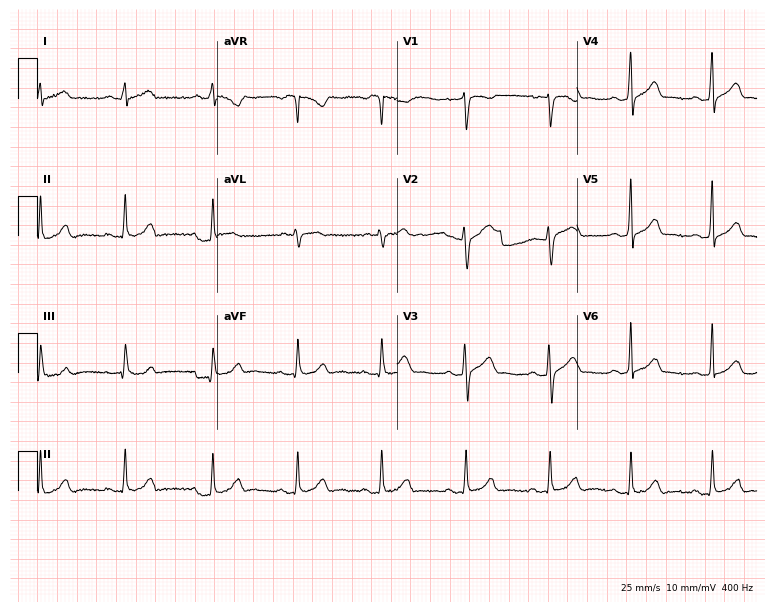
Electrocardiogram, a male patient, 35 years old. Overall reading on record: normal ECG.